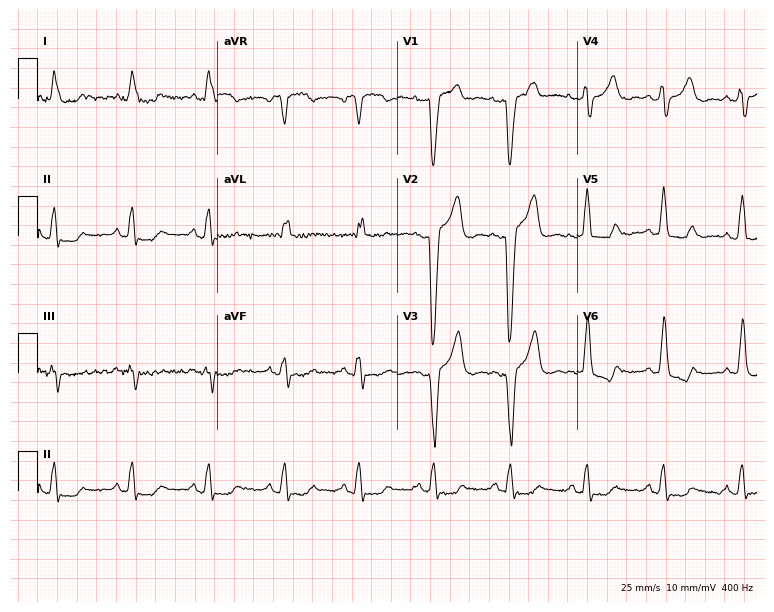
ECG — a 50-year-old female patient. Findings include left bundle branch block.